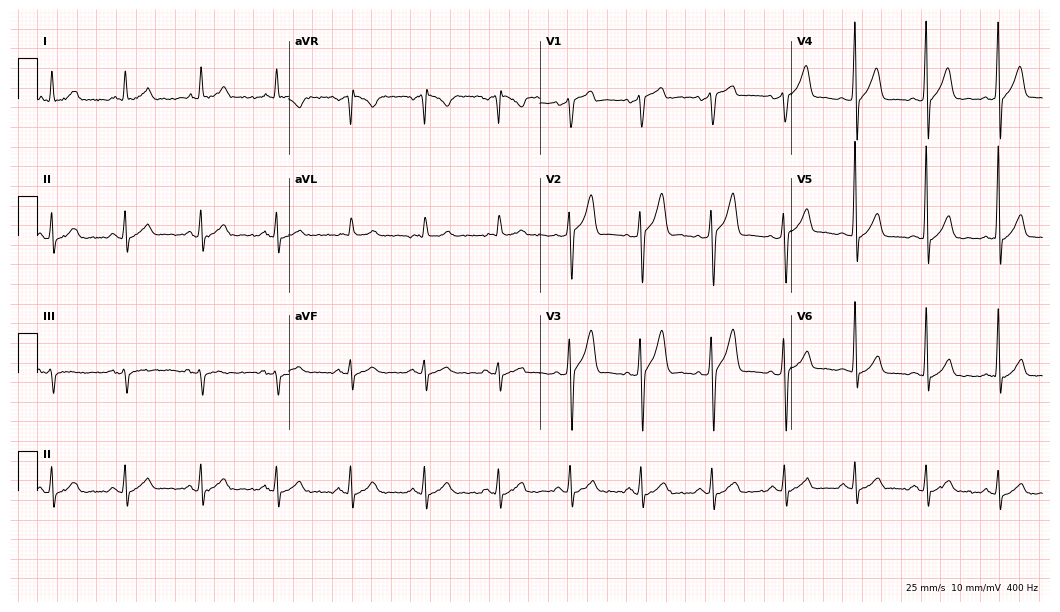
Electrocardiogram, a male patient, 56 years old. Overall reading on record: normal ECG.